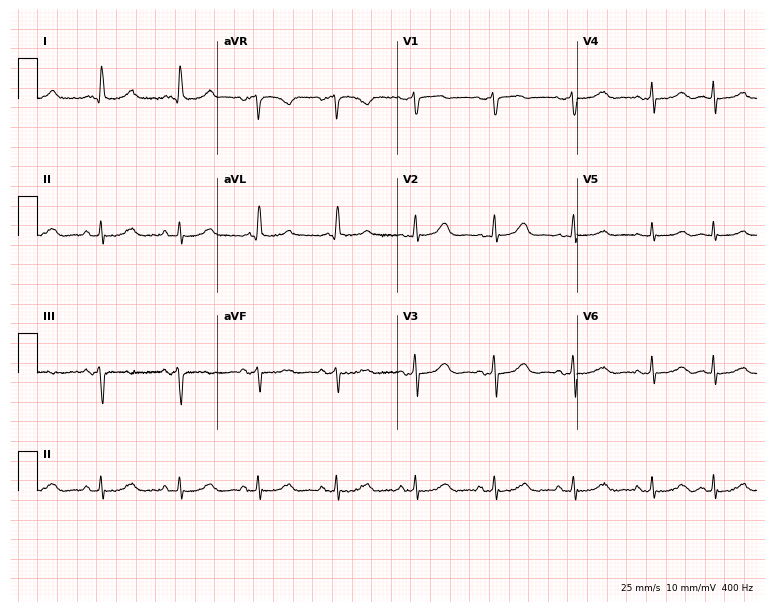
ECG (7.3-second recording at 400 Hz) — a female, 77 years old. Screened for six findings — first-degree AV block, right bundle branch block, left bundle branch block, sinus bradycardia, atrial fibrillation, sinus tachycardia — none is recorded.